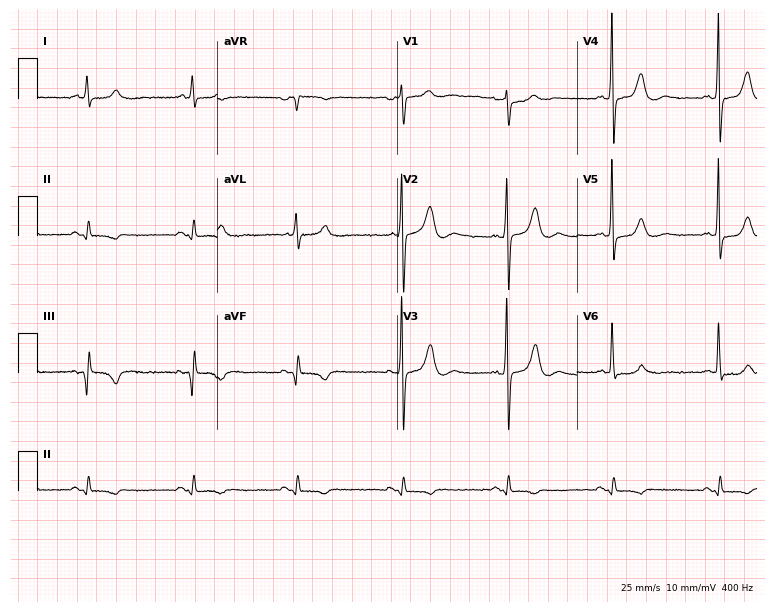
12-lead ECG from a man, 61 years old. No first-degree AV block, right bundle branch block, left bundle branch block, sinus bradycardia, atrial fibrillation or sinus tachycardia recorded for this tracing.